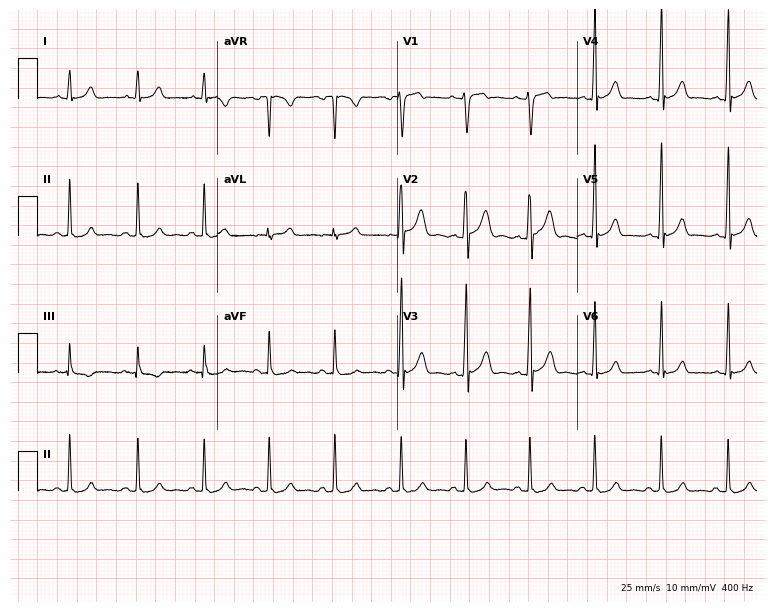
Resting 12-lead electrocardiogram (7.3-second recording at 400 Hz). Patient: a 22-year-old male. None of these six findings is recorded: first-degree AV block, right bundle branch block (RBBB), left bundle branch block (LBBB), sinus bradycardia, atrial fibrillation (AF), sinus tachycardia.